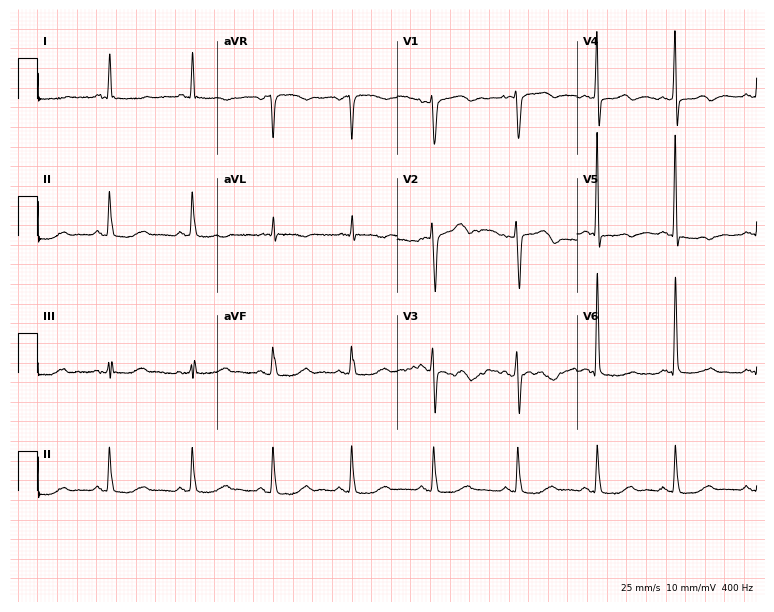
Standard 12-lead ECG recorded from a female patient, 66 years old (7.3-second recording at 400 Hz). None of these six findings is recorded: first-degree AV block, right bundle branch block (RBBB), left bundle branch block (LBBB), sinus bradycardia, atrial fibrillation (AF), sinus tachycardia.